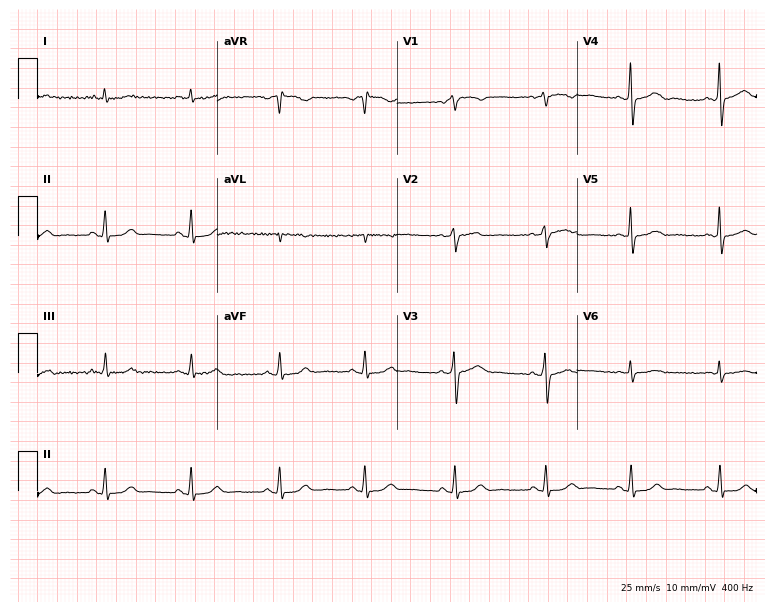
12-lead ECG from a 65-year-old man. Screened for six findings — first-degree AV block, right bundle branch block, left bundle branch block, sinus bradycardia, atrial fibrillation, sinus tachycardia — none is recorded.